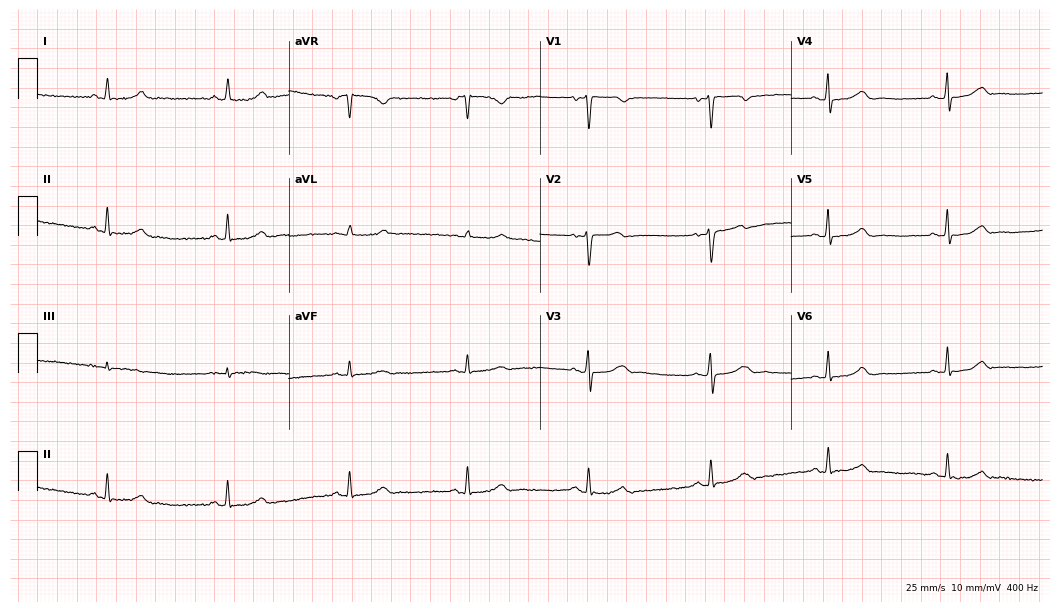
12-lead ECG from a 51-year-old woman. Findings include sinus bradycardia (a sinus rate of 50 beats per minute or less).